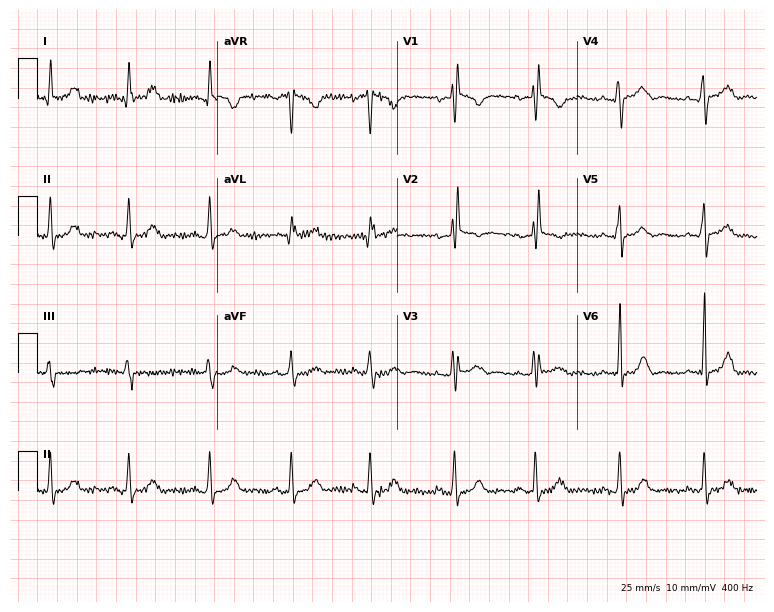
Standard 12-lead ECG recorded from a 29-year-old female patient (7.3-second recording at 400 Hz). None of these six findings is recorded: first-degree AV block, right bundle branch block, left bundle branch block, sinus bradycardia, atrial fibrillation, sinus tachycardia. Other findings, if any, are not listed.